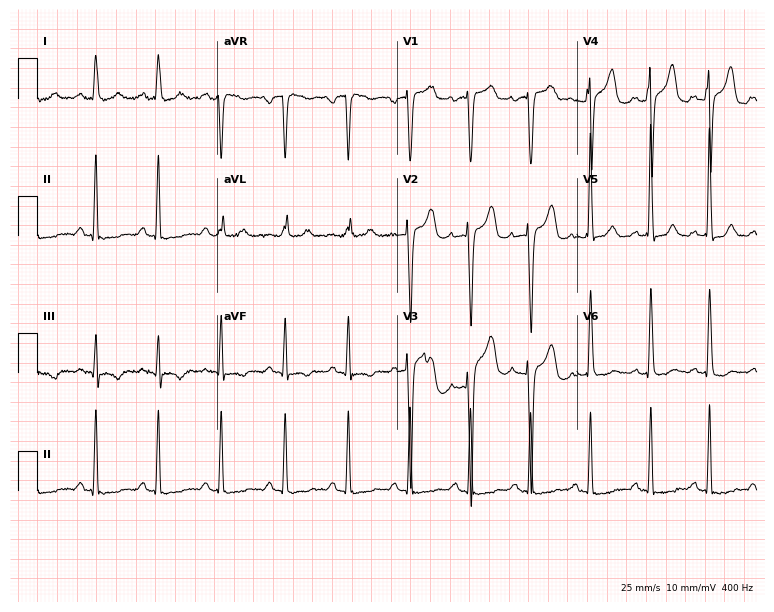
12-lead ECG from a female, 52 years old. No first-degree AV block, right bundle branch block (RBBB), left bundle branch block (LBBB), sinus bradycardia, atrial fibrillation (AF) or sinus tachycardia recorded for this tracing.